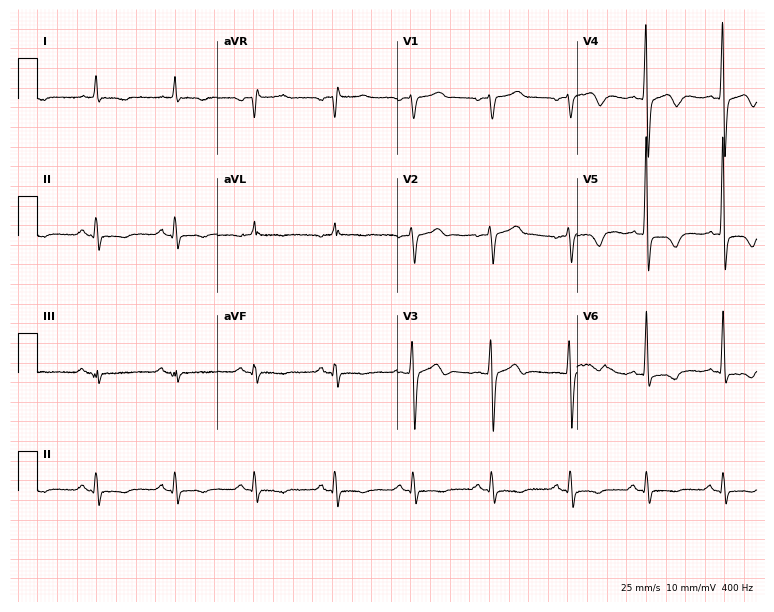
Resting 12-lead electrocardiogram. Patient: an 82-year-old man. None of these six findings is recorded: first-degree AV block, right bundle branch block, left bundle branch block, sinus bradycardia, atrial fibrillation, sinus tachycardia.